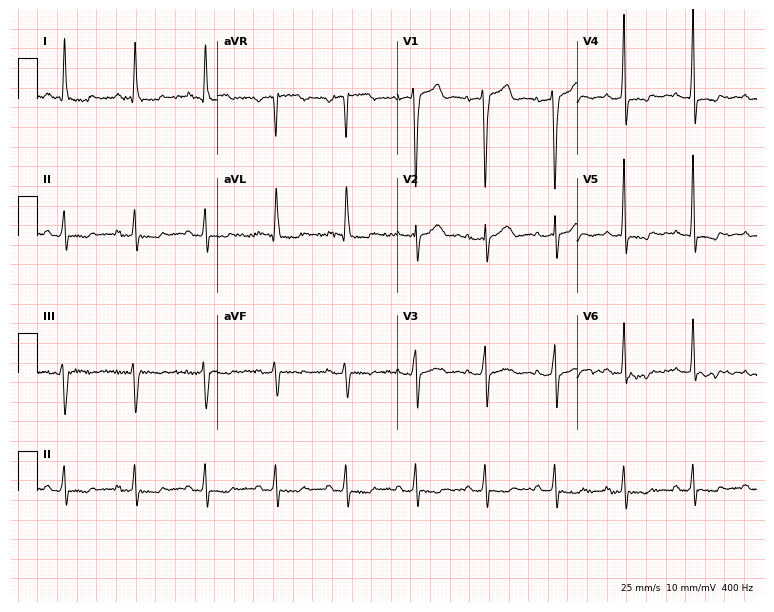
Standard 12-lead ECG recorded from a 63-year-old male patient. None of these six findings is recorded: first-degree AV block, right bundle branch block, left bundle branch block, sinus bradycardia, atrial fibrillation, sinus tachycardia. Other findings, if any, are not listed.